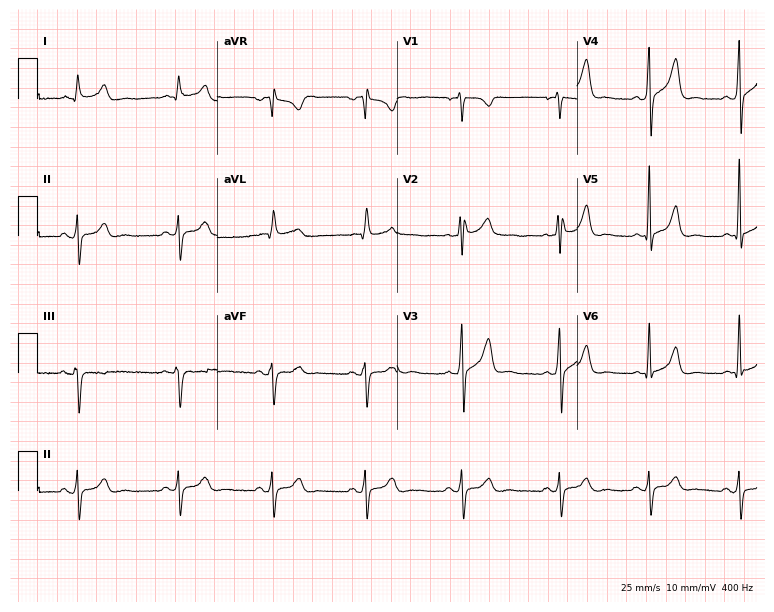
Electrocardiogram, a male patient, 39 years old. Overall reading on record: normal ECG.